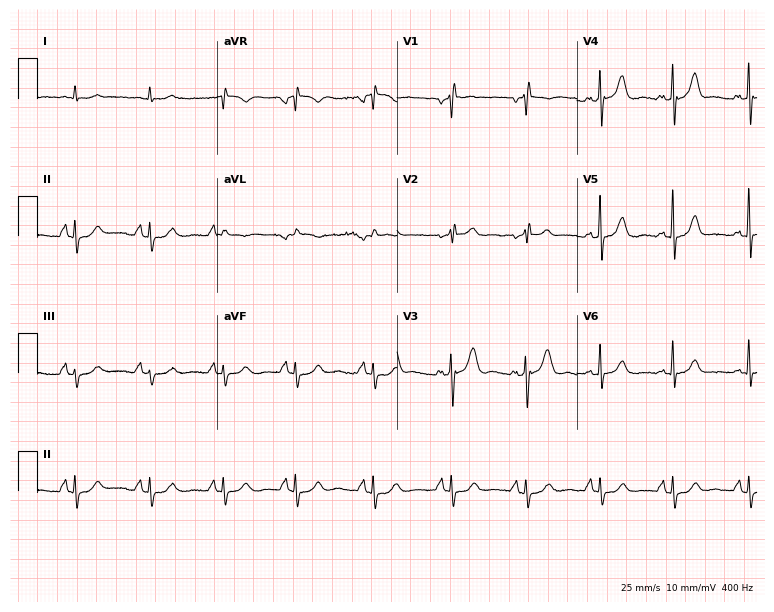
12-lead ECG from a 73-year-old man. No first-degree AV block, right bundle branch block, left bundle branch block, sinus bradycardia, atrial fibrillation or sinus tachycardia recorded for this tracing.